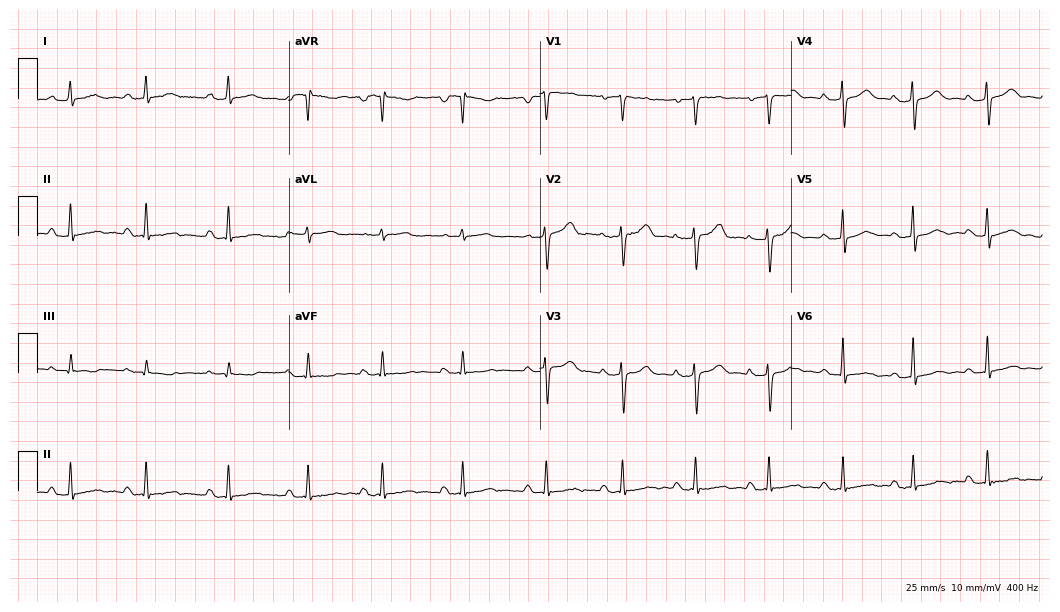
Standard 12-lead ECG recorded from a 44-year-old female. Read as a normal ECG.